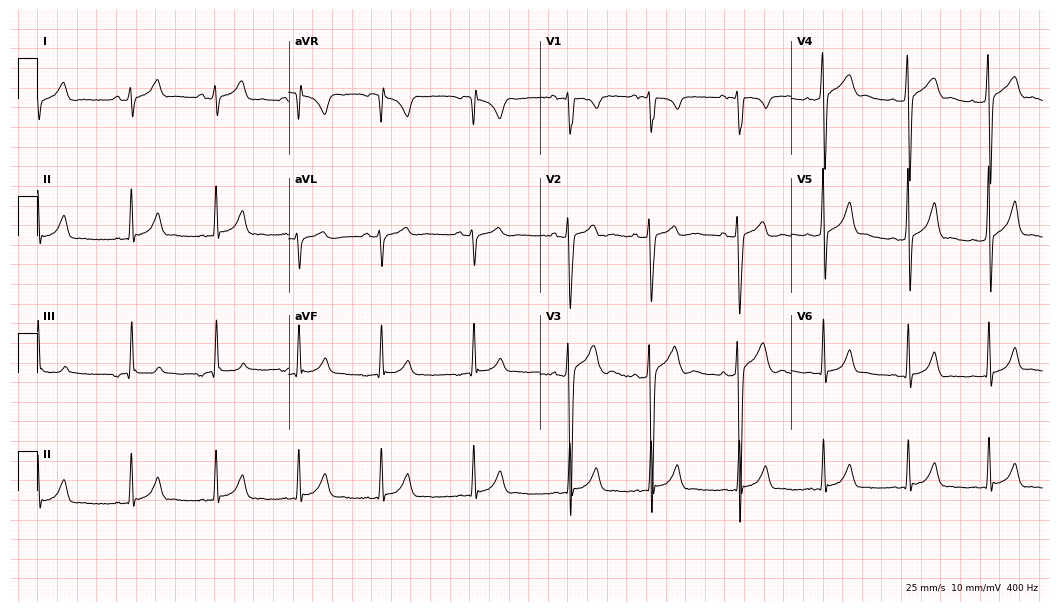
12-lead ECG from a 19-year-old male. Screened for six findings — first-degree AV block, right bundle branch block, left bundle branch block, sinus bradycardia, atrial fibrillation, sinus tachycardia — none is recorded.